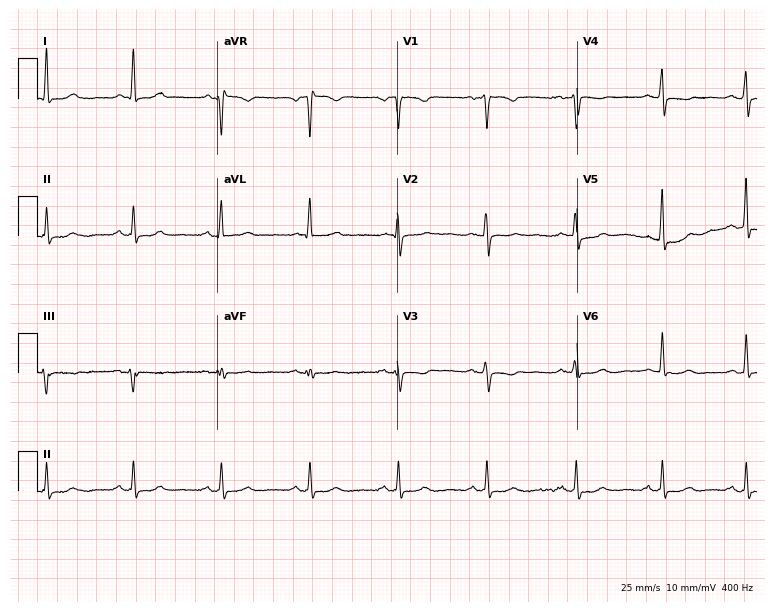
Electrocardiogram, a 76-year-old woman. Of the six screened findings (first-degree AV block, right bundle branch block (RBBB), left bundle branch block (LBBB), sinus bradycardia, atrial fibrillation (AF), sinus tachycardia), none is recorded.